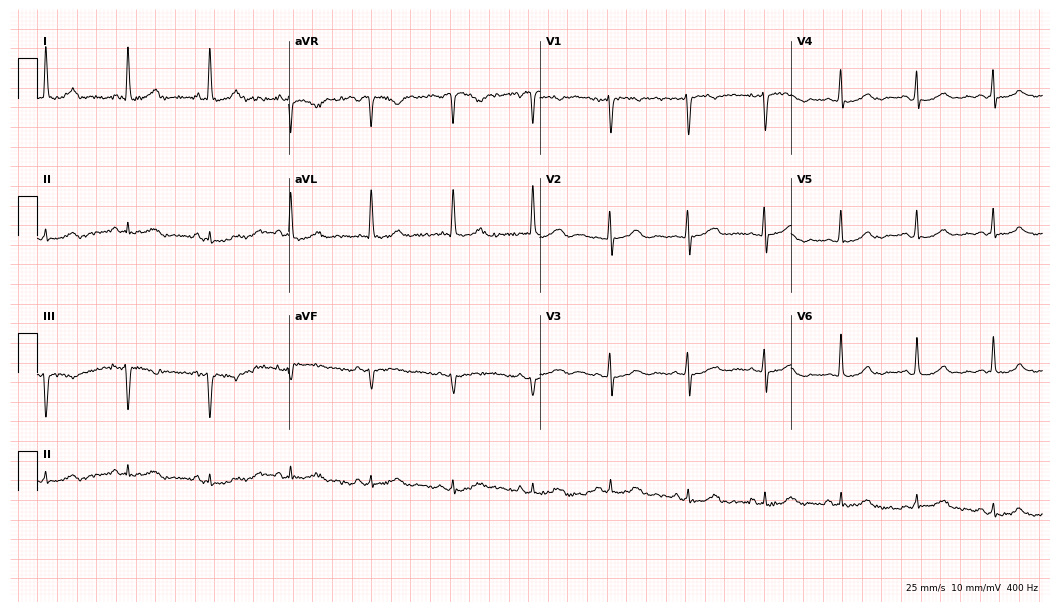
Electrocardiogram (10.2-second recording at 400 Hz), a female patient, 62 years old. Overall reading on record: normal ECG.